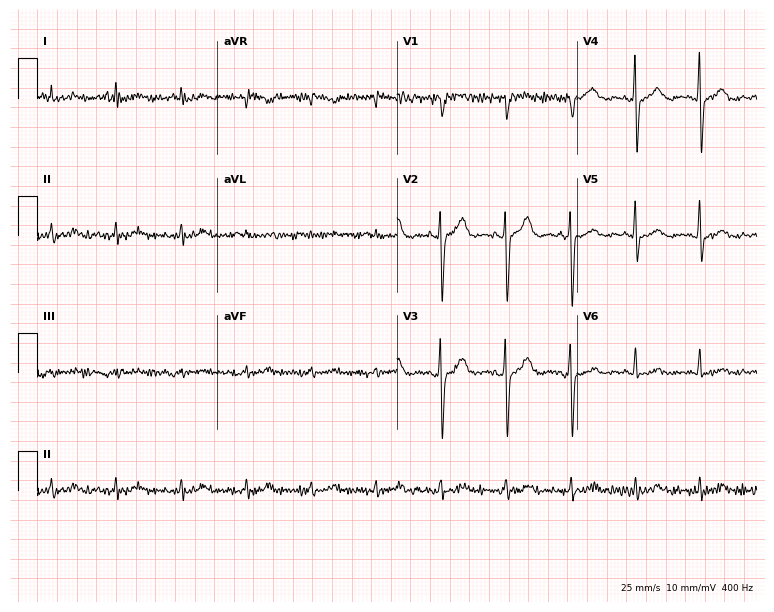
12-lead ECG from a male patient, 68 years old (7.3-second recording at 400 Hz). No first-degree AV block, right bundle branch block, left bundle branch block, sinus bradycardia, atrial fibrillation or sinus tachycardia recorded for this tracing.